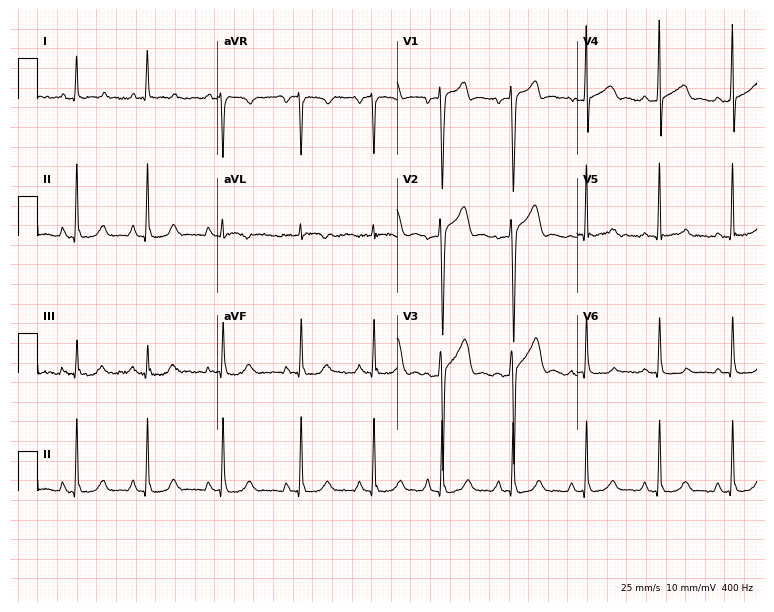
Standard 12-lead ECG recorded from a 35-year-old man (7.3-second recording at 400 Hz). None of these six findings is recorded: first-degree AV block, right bundle branch block (RBBB), left bundle branch block (LBBB), sinus bradycardia, atrial fibrillation (AF), sinus tachycardia. Only these six findings were labelled.